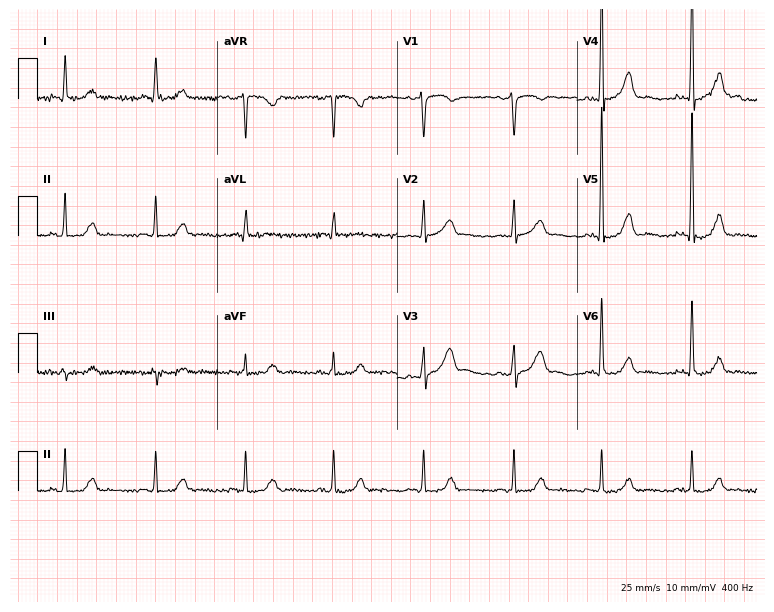
12-lead ECG from a 50-year-old woman. Labelled as a normal ECG.